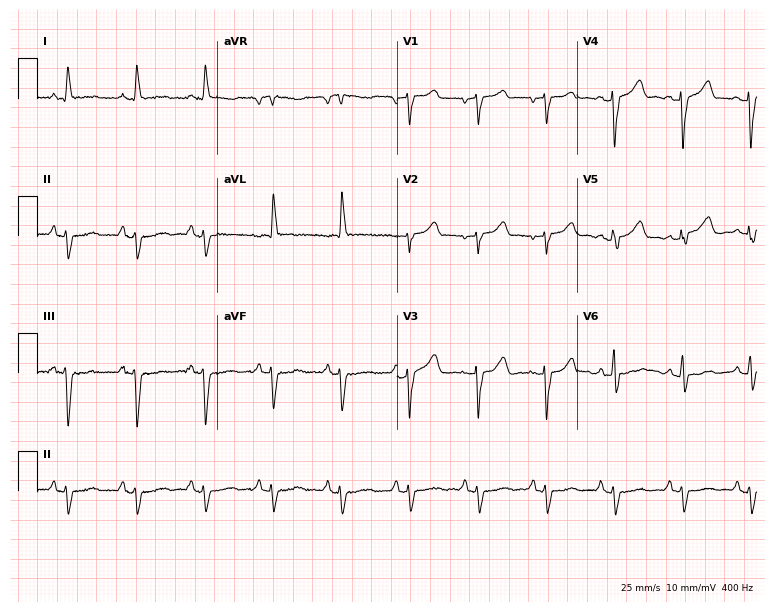
12-lead ECG (7.3-second recording at 400 Hz) from a 77-year-old woman. Screened for six findings — first-degree AV block, right bundle branch block, left bundle branch block, sinus bradycardia, atrial fibrillation, sinus tachycardia — none is recorded. Only these six findings were labelled.